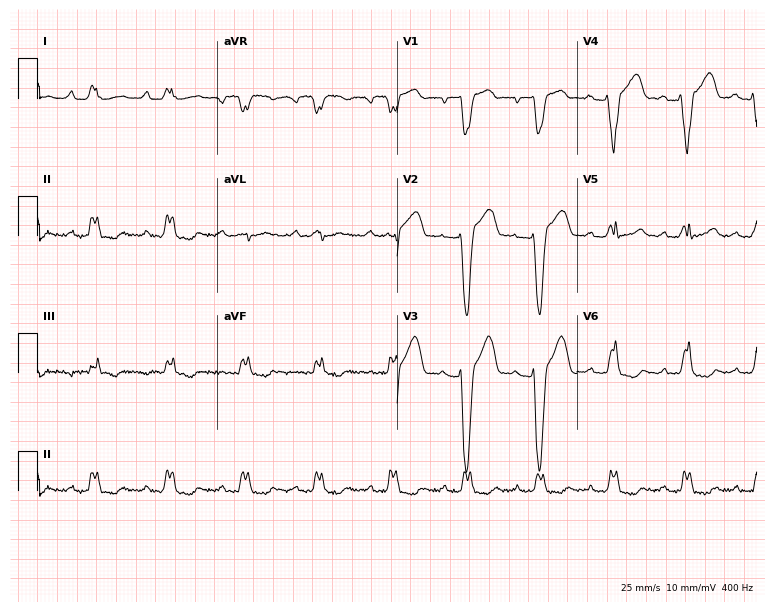
ECG — a male, 75 years old. Screened for six findings — first-degree AV block, right bundle branch block, left bundle branch block, sinus bradycardia, atrial fibrillation, sinus tachycardia — none is recorded. Only these six findings were labelled.